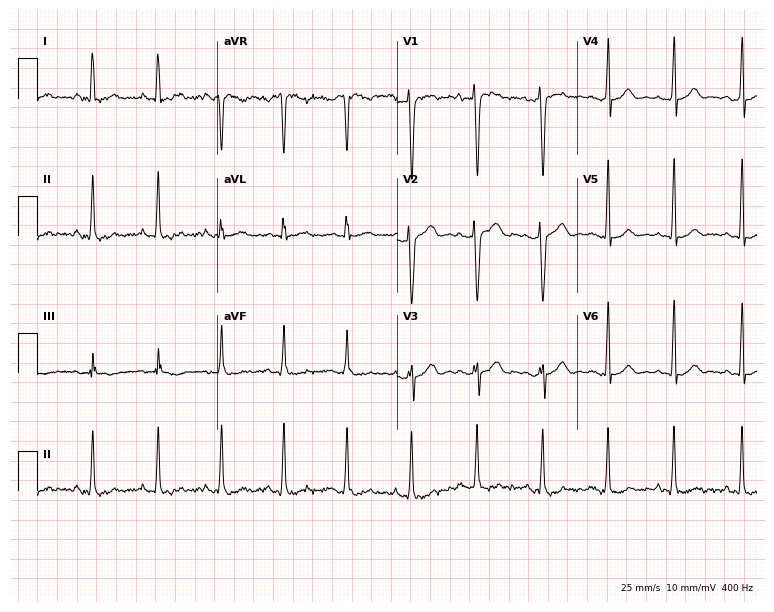
Resting 12-lead electrocardiogram (7.3-second recording at 400 Hz). Patient: a female, 33 years old. None of these six findings is recorded: first-degree AV block, right bundle branch block, left bundle branch block, sinus bradycardia, atrial fibrillation, sinus tachycardia.